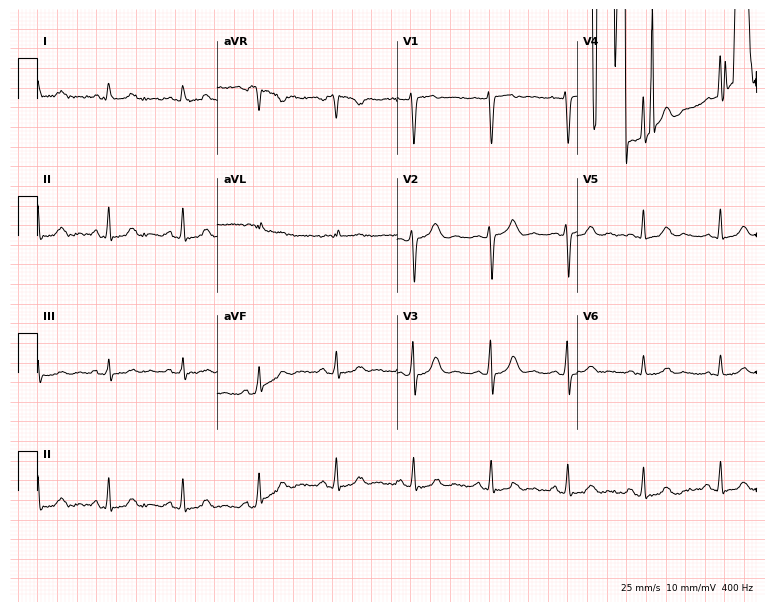
Electrocardiogram (7.3-second recording at 400 Hz), a 45-year-old female. Of the six screened findings (first-degree AV block, right bundle branch block, left bundle branch block, sinus bradycardia, atrial fibrillation, sinus tachycardia), none is recorded.